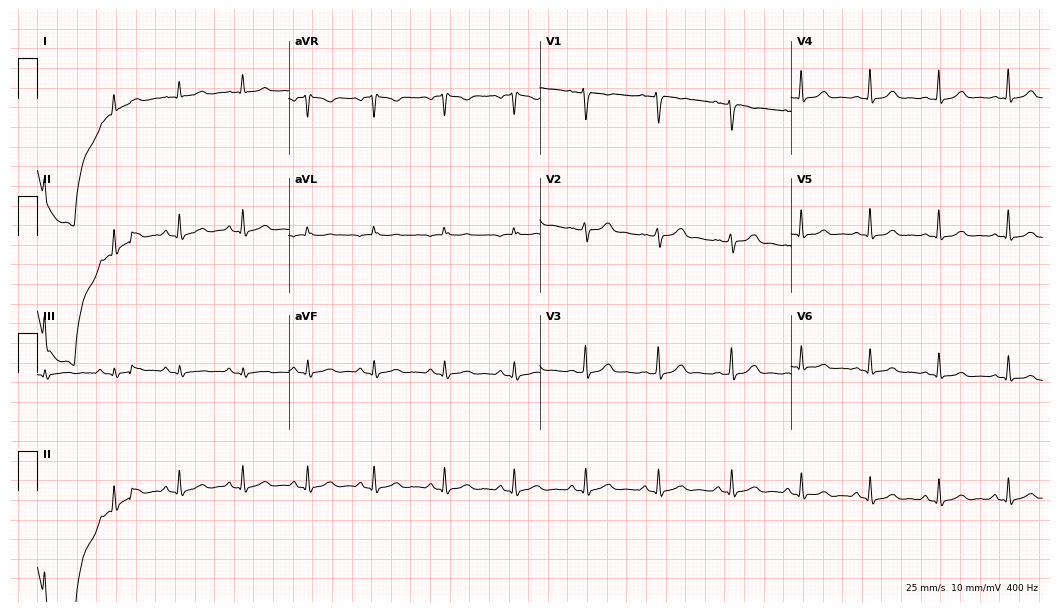
Standard 12-lead ECG recorded from a woman, 34 years old. Read as a normal ECG.